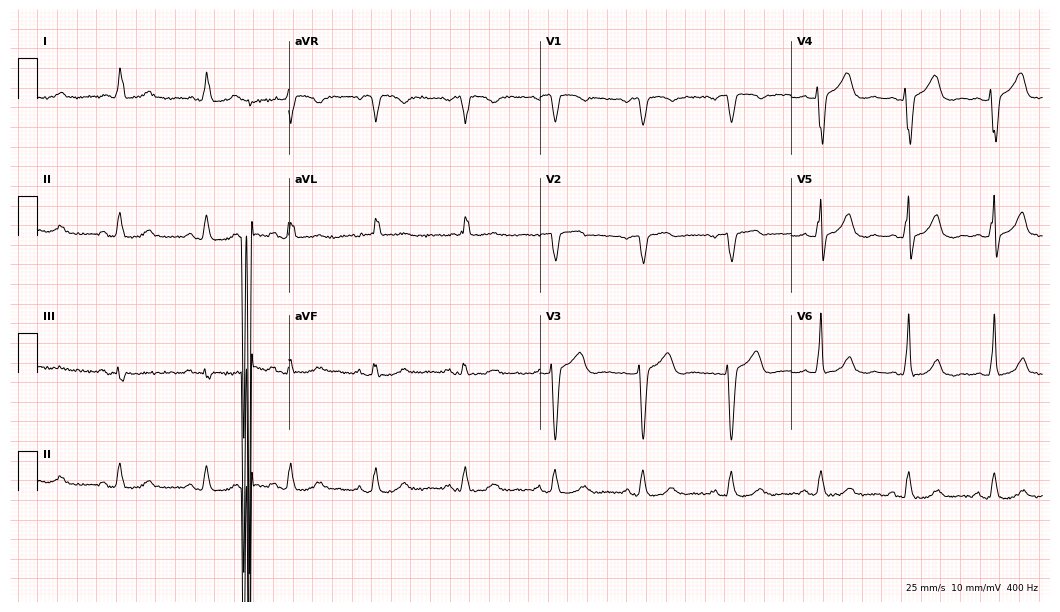
Standard 12-lead ECG recorded from an 80-year-old female patient (10.2-second recording at 400 Hz). None of these six findings is recorded: first-degree AV block, right bundle branch block, left bundle branch block, sinus bradycardia, atrial fibrillation, sinus tachycardia.